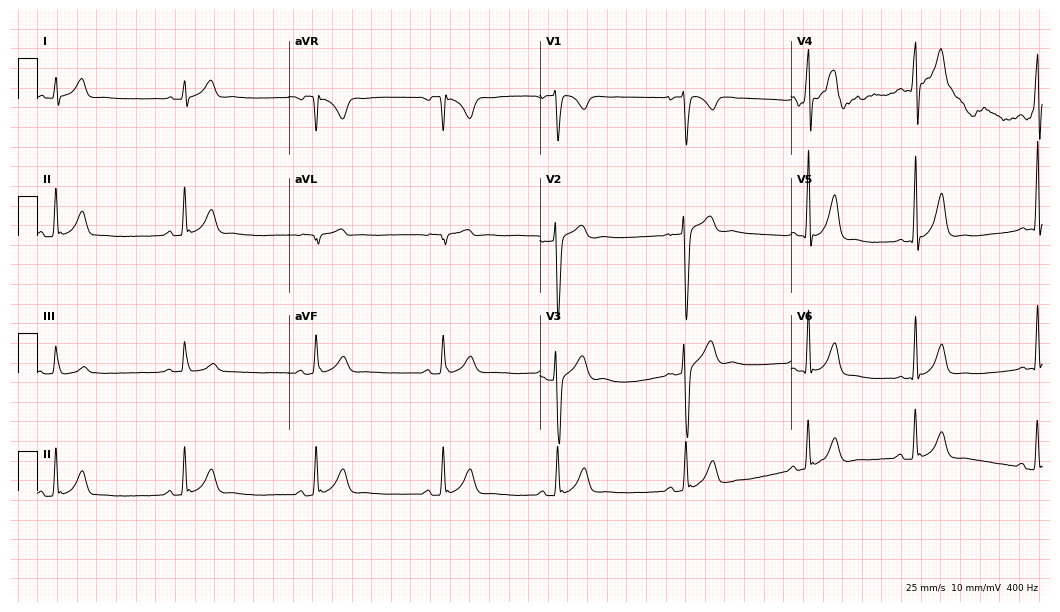
Standard 12-lead ECG recorded from a 21-year-old male. The tracing shows sinus bradycardia (a sinus rate of 50 beats per minute or less).